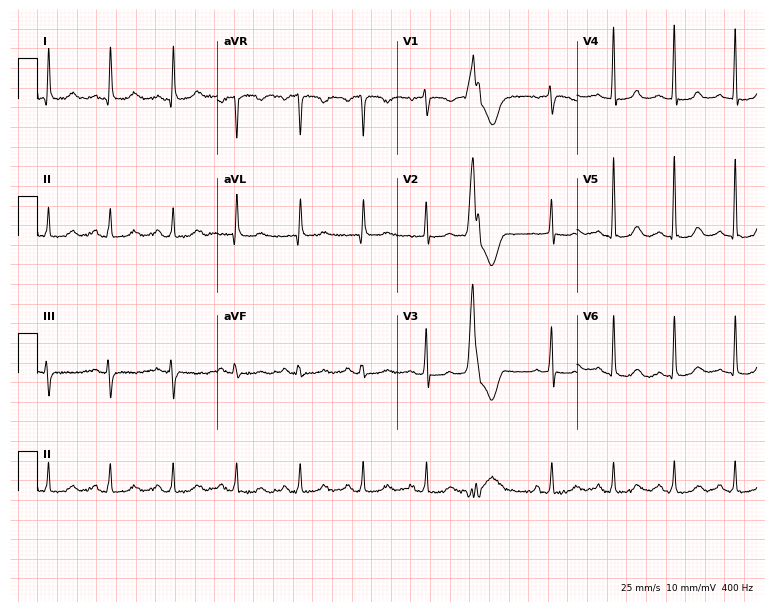
12-lead ECG from a female patient, 57 years old (7.3-second recording at 400 Hz). No first-degree AV block, right bundle branch block (RBBB), left bundle branch block (LBBB), sinus bradycardia, atrial fibrillation (AF) or sinus tachycardia recorded for this tracing. Only these six findings were labelled.